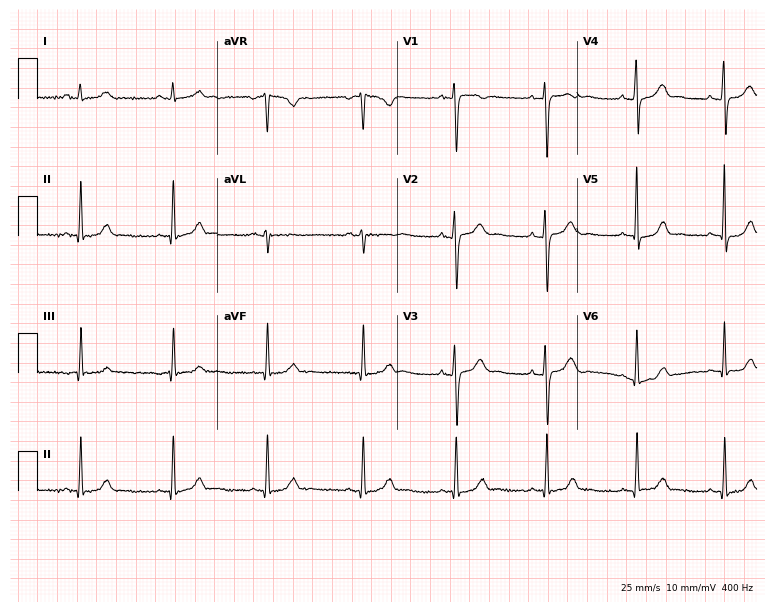
Electrocardiogram, a female, 42 years old. Of the six screened findings (first-degree AV block, right bundle branch block (RBBB), left bundle branch block (LBBB), sinus bradycardia, atrial fibrillation (AF), sinus tachycardia), none is recorded.